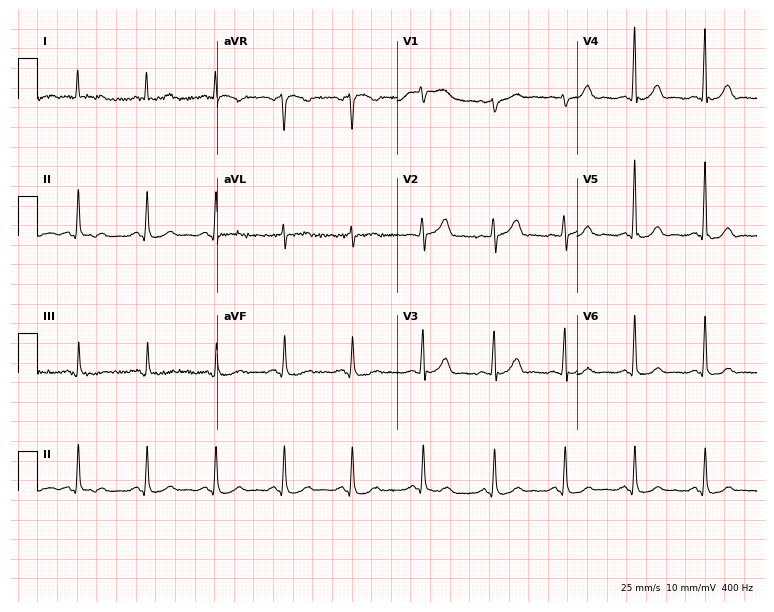
12-lead ECG from a man, 64 years old. Recorded interpretation: within normal limits.